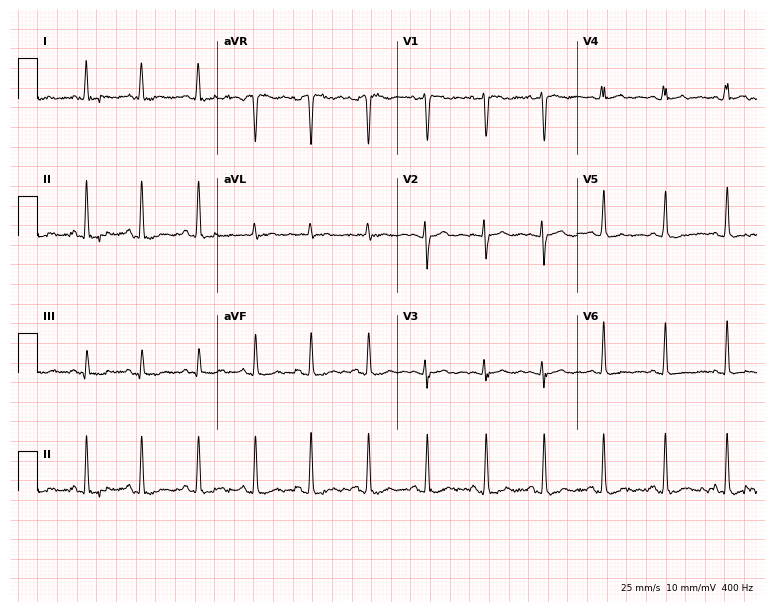
12-lead ECG from a 22-year-old female (7.3-second recording at 400 Hz). Shows sinus tachycardia (a sinus rate of 100 beats per minute or more).